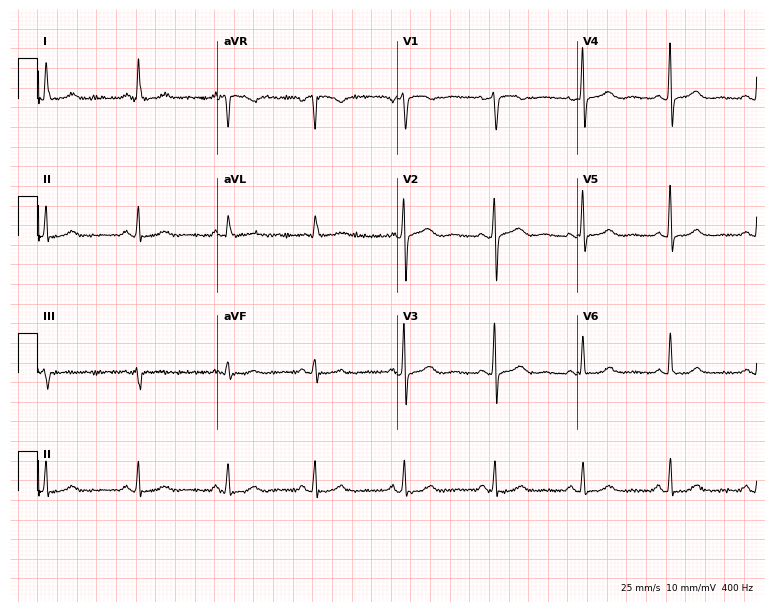
Resting 12-lead electrocardiogram (7.3-second recording at 400 Hz). Patient: a 54-year-old female. Read as a normal ECG.